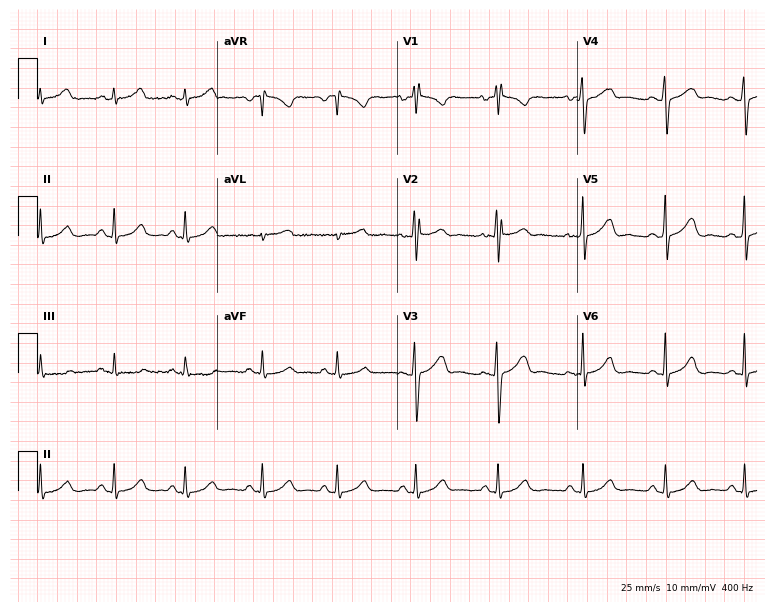
12-lead ECG from a 38-year-old female (7.3-second recording at 400 Hz). No first-degree AV block, right bundle branch block, left bundle branch block, sinus bradycardia, atrial fibrillation or sinus tachycardia recorded for this tracing.